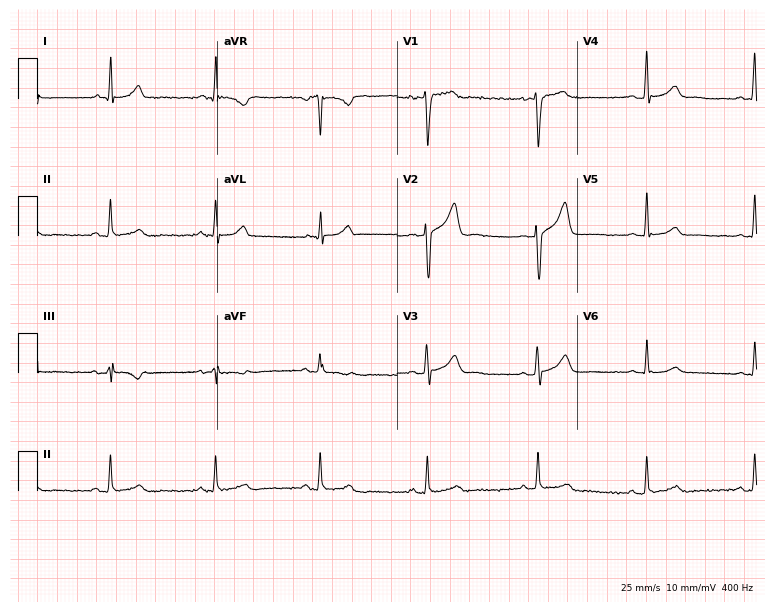
Standard 12-lead ECG recorded from a 39-year-old man. Read as a normal ECG.